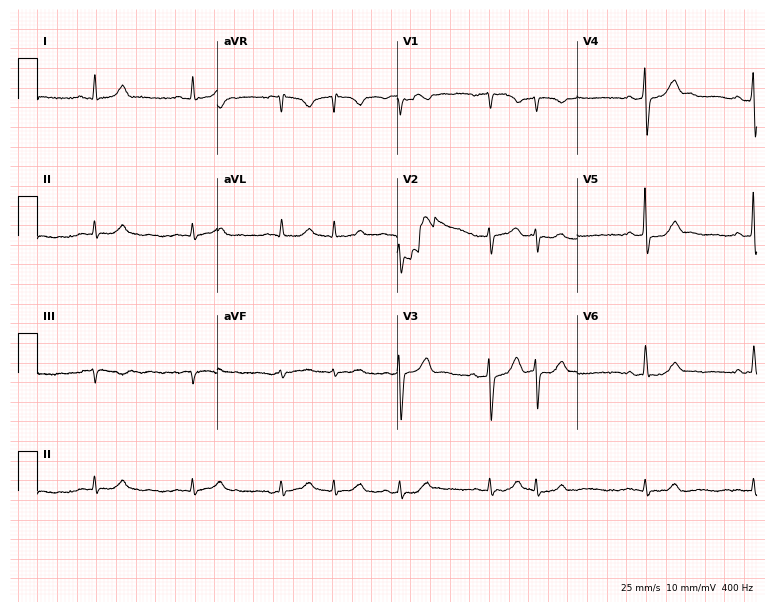
12-lead ECG from a male, 70 years old (7.3-second recording at 400 Hz). No first-degree AV block, right bundle branch block, left bundle branch block, sinus bradycardia, atrial fibrillation or sinus tachycardia recorded for this tracing. Only these six findings were labelled.